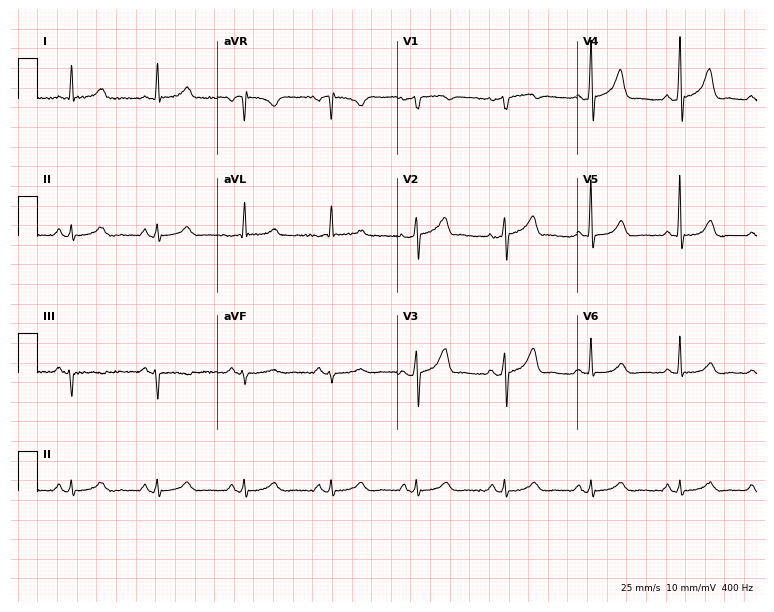
Electrocardiogram (7.3-second recording at 400 Hz), a male patient, 62 years old. Overall reading on record: normal ECG.